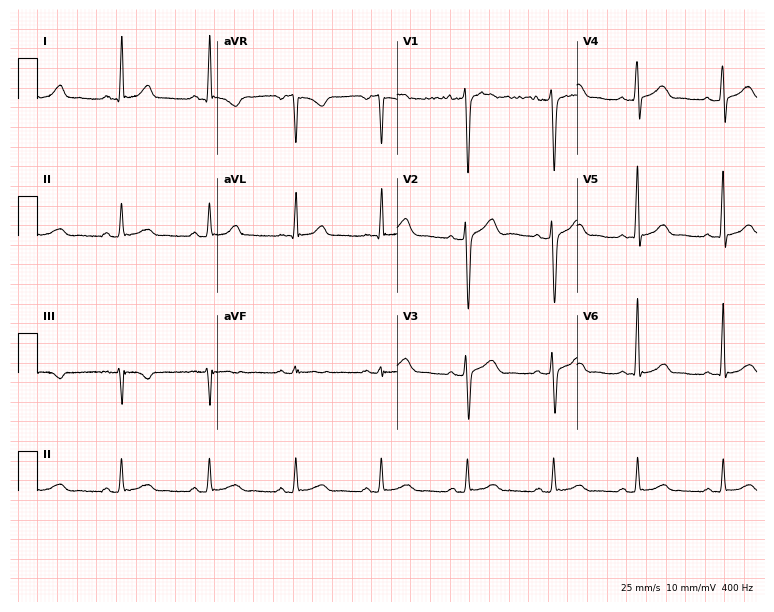
12-lead ECG from a 42-year-old female patient (7.3-second recording at 400 Hz). Recorded interpretation: within normal limits.